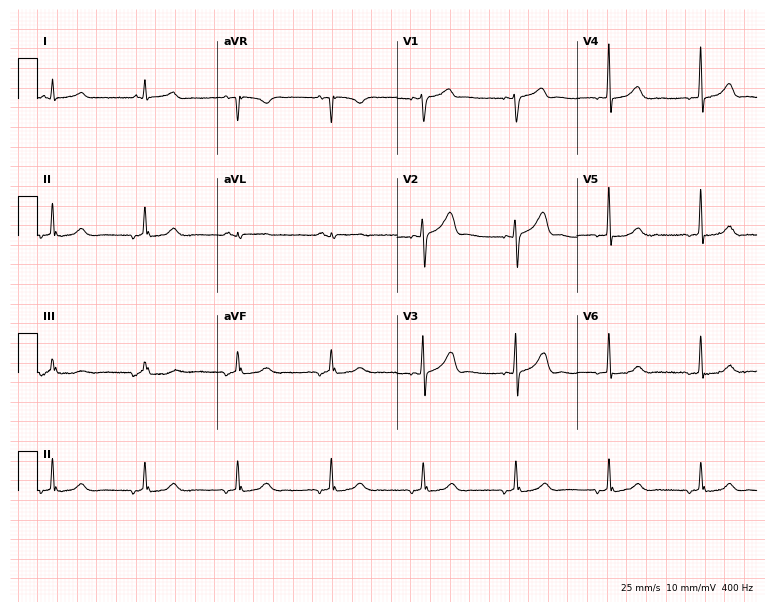
12-lead ECG (7.3-second recording at 400 Hz) from a 72-year-old man. Labelled as a normal ECG.